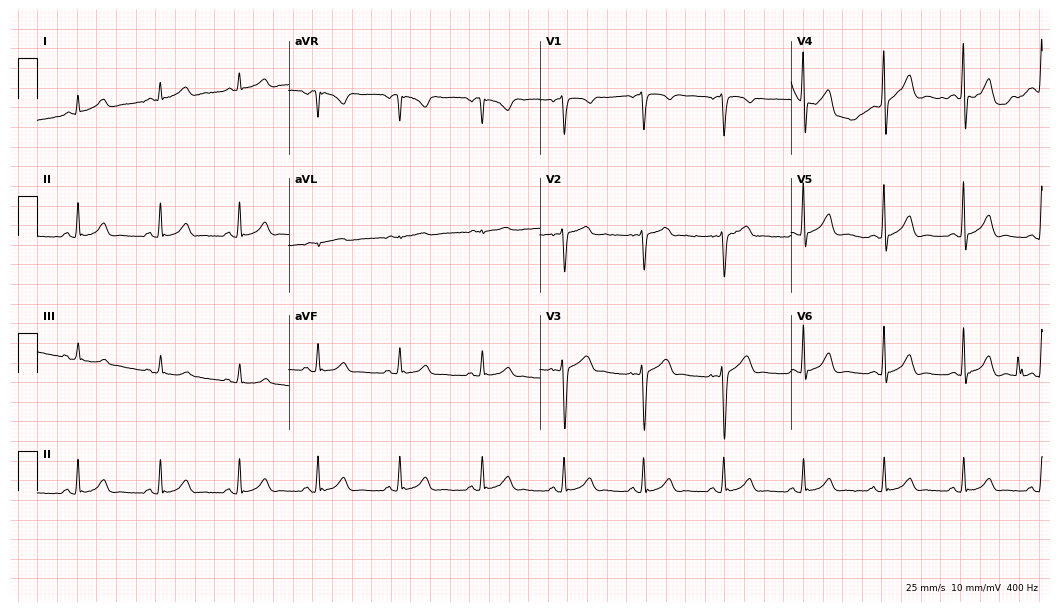
Resting 12-lead electrocardiogram. Patient: a 39-year-old male. Read as a normal ECG.